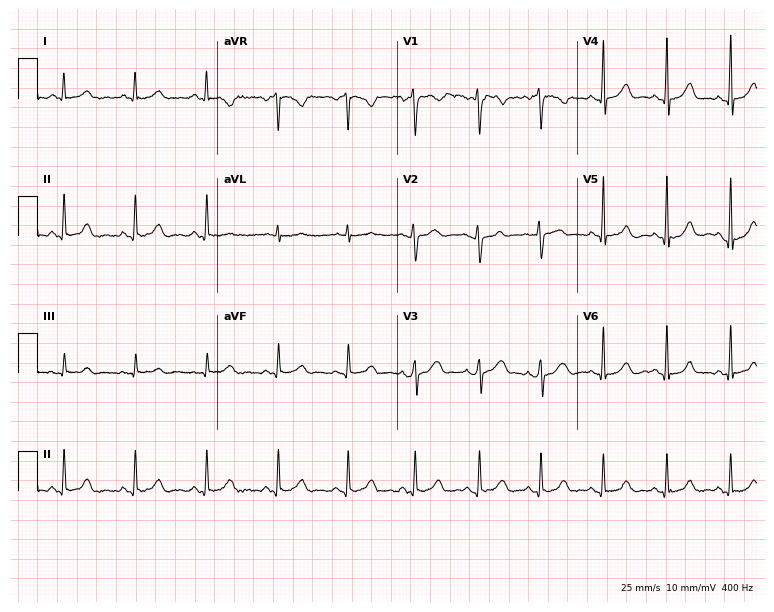
ECG (7.3-second recording at 400 Hz) — a 40-year-old woman. Labelled as a normal ECG.